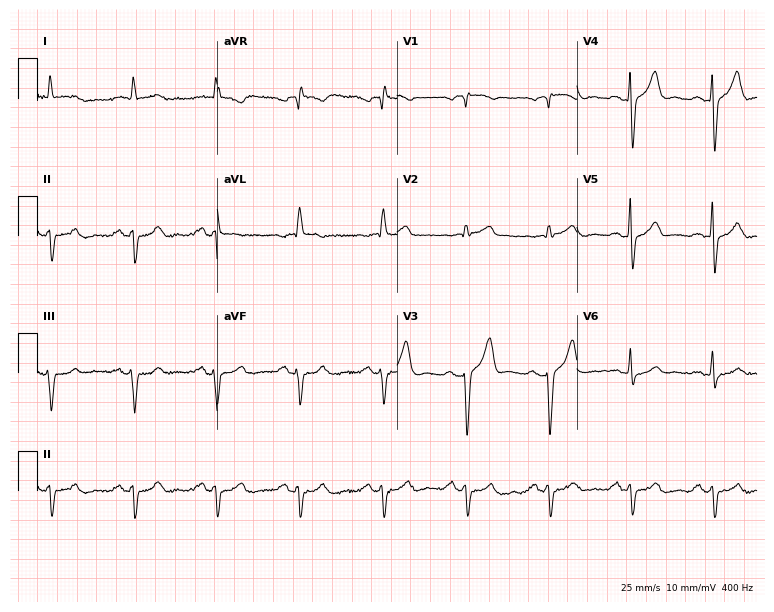
12-lead ECG from a 65-year-old male. No first-degree AV block, right bundle branch block, left bundle branch block, sinus bradycardia, atrial fibrillation or sinus tachycardia recorded for this tracing.